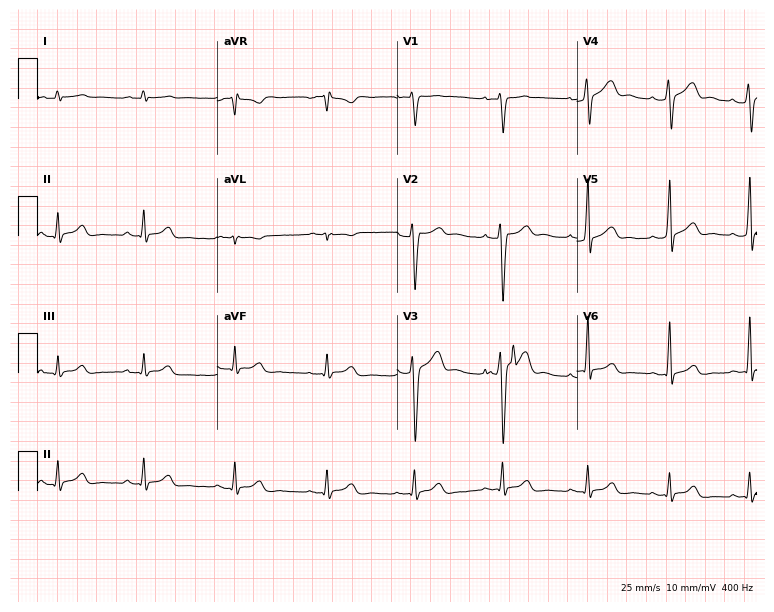
12-lead ECG (7.3-second recording at 400 Hz) from a male, 29 years old. Screened for six findings — first-degree AV block, right bundle branch block, left bundle branch block, sinus bradycardia, atrial fibrillation, sinus tachycardia — none is recorded. Findings outside these six are not listed.